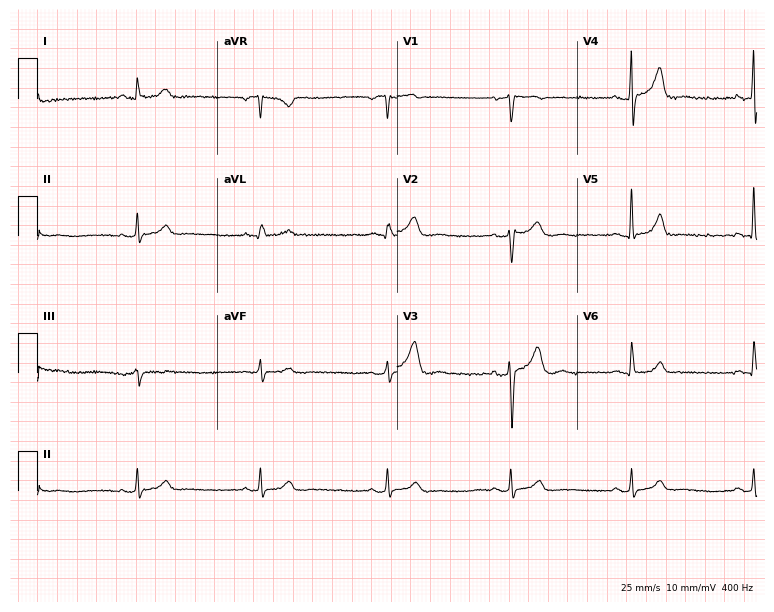
Electrocardiogram (7.3-second recording at 400 Hz), a male, 50 years old. Interpretation includes sinus bradycardia (a sinus rate of 50 beats per minute or less).